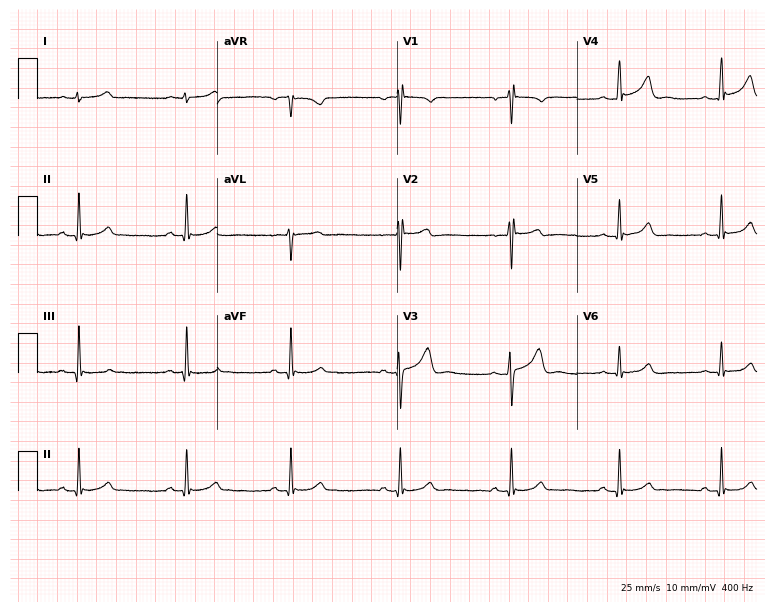
12-lead ECG from a man, 19 years old. Screened for six findings — first-degree AV block, right bundle branch block, left bundle branch block, sinus bradycardia, atrial fibrillation, sinus tachycardia — none is recorded. Only these six findings were labelled.